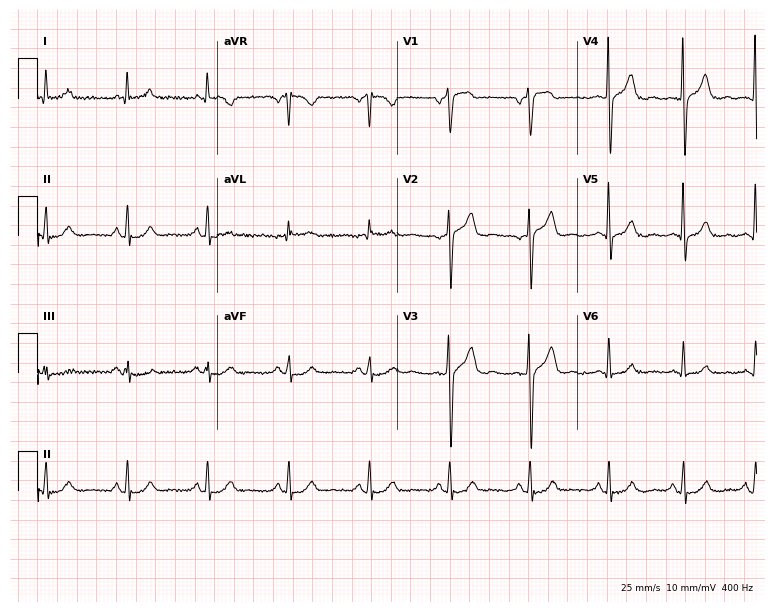
Resting 12-lead electrocardiogram (7.3-second recording at 400 Hz). Patient: a male, 72 years old. Read as a normal ECG.